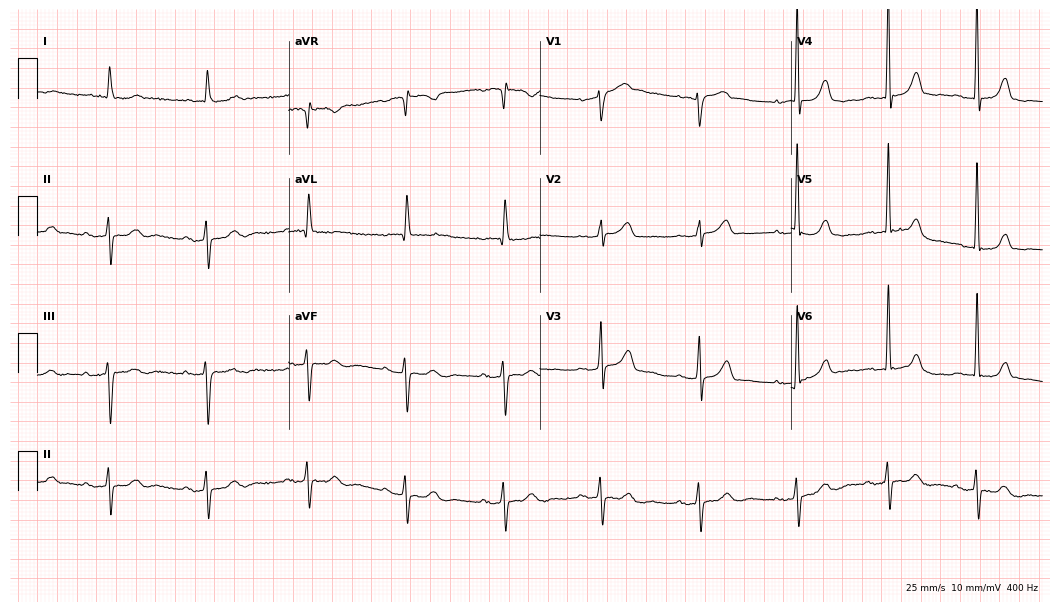
12-lead ECG from a female, 85 years old. Screened for six findings — first-degree AV block, right bundle branch block, left bundle branch block, sinus bradycardia, atrial fibrillation, sinus tachycardia — none is recorded.